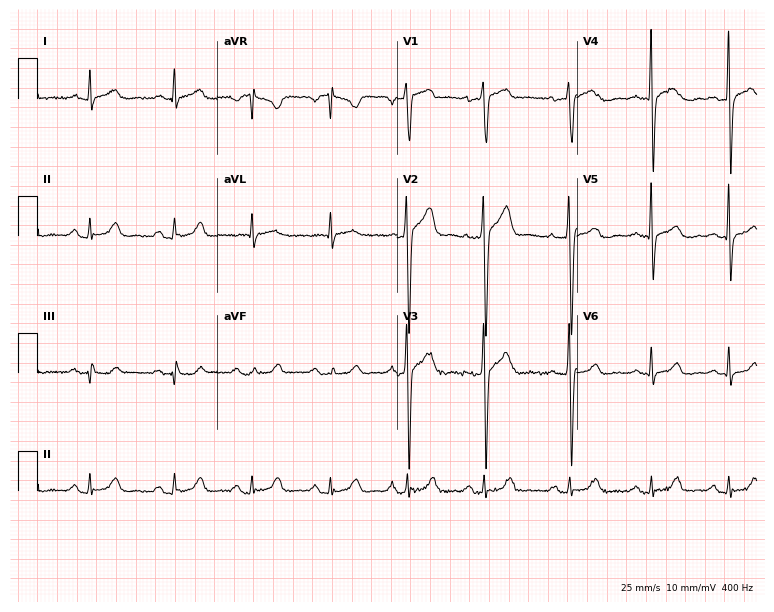
Standard 12-lead ECG recorded from a man, 46 years old (7.3-second recording at 400 Hz). Read as a normal ECG.